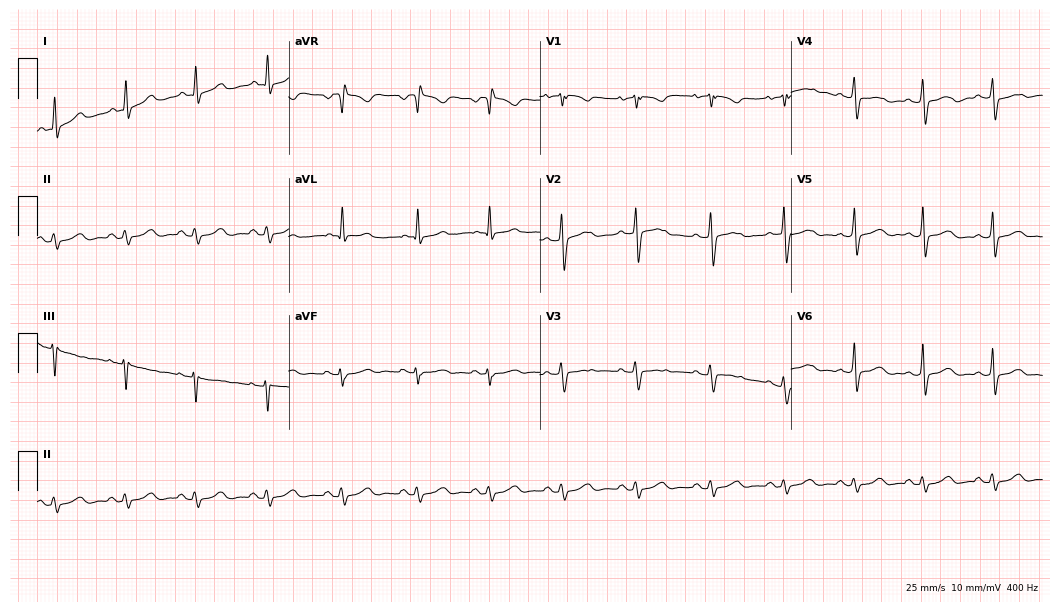
12-lead ECG from a woman, 40 years old. Labelled as a normal ECG.